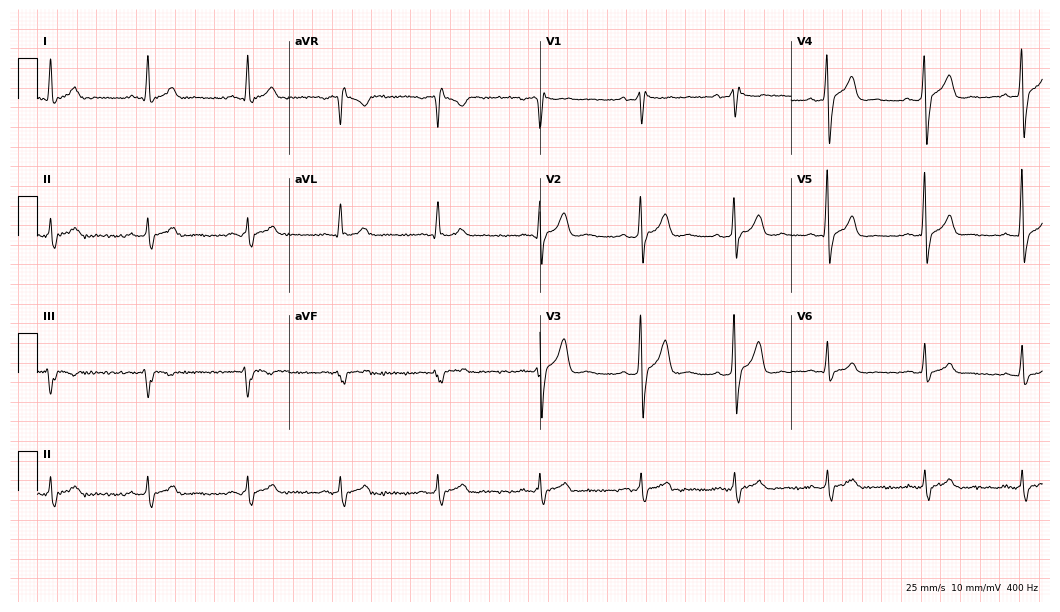
12-lead ECG (10.2-second recording at 400 Hz) from a male, 25 years old. Screened for six findings — first-degree AV block, right bundle branch block (RBBB), left bundle branch block (LBBB), sinus bradycardia, atrial fibrillation (AF), sinus tachycardia — none is recorded. Only these six findings were labelled.